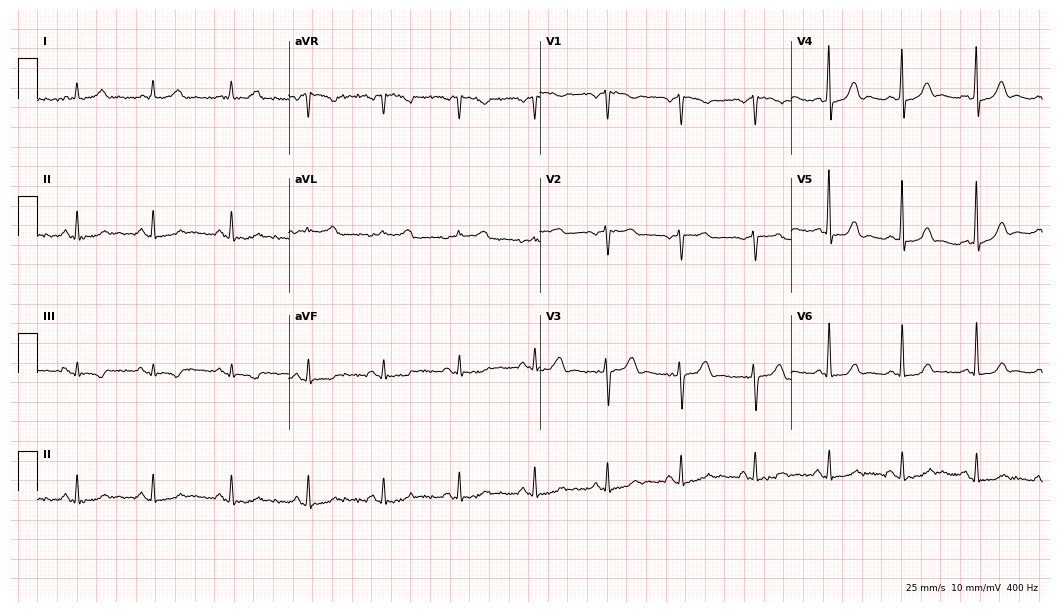
12-lead ECG (10.2-second recording at 400 Hz) from a female patient, 44 years old. Labelled as a normal ECG.